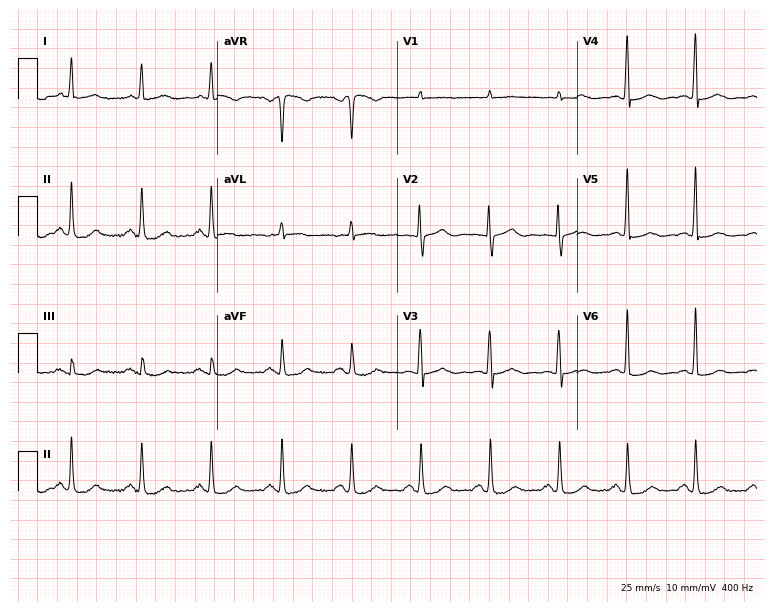
12-lead ECG from a 67-year-old female. Screened for six findings — first-degree AV block, right bundle branch block, left bundle branch block, sinus bradycardia, atrial fibrillation, sinus tachycardia — none is recorded. Other findings, if any, are not listed.